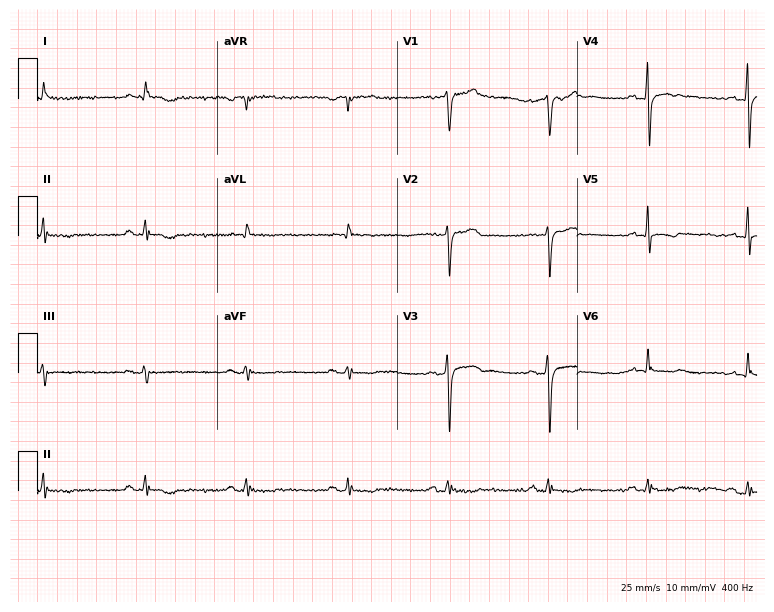
12-lead ECG from a male, 82 years old. Screened for six findings — first-degree AV block, right bundle branch block, left bundle branch block, sinus bradycardia, atrial fibrillation, sinus tachycardia — none is recorded.